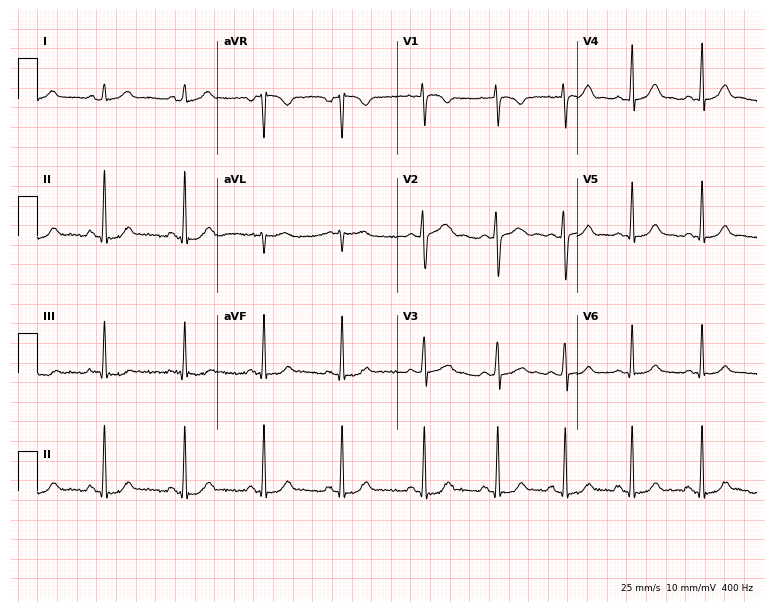
Resting 12-lead electrocardiogram. Patient: a 19-year-old female. None of these six findings is recorded: first-degree AV block, right bundle branch block, left bundle branch block, sinus bradycardia, atrial fibrillation, sinus tachycardia. Only these six findings were labelled.